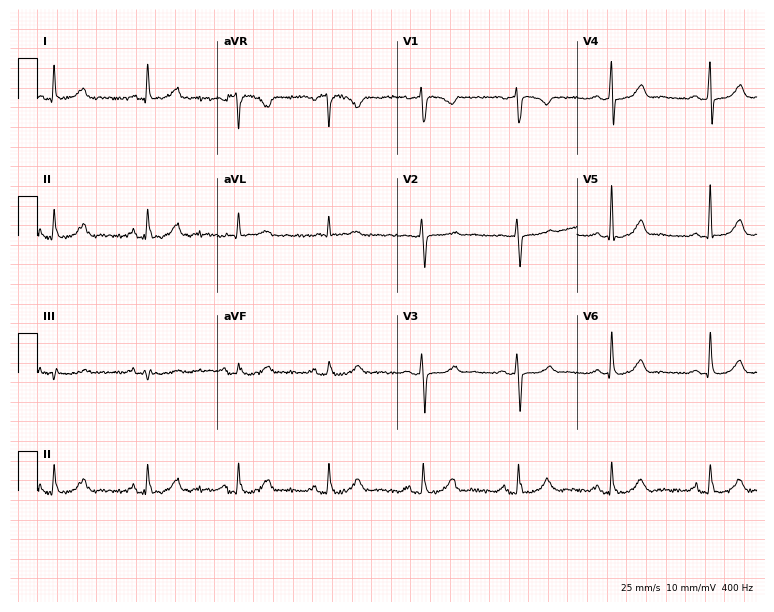
ECG (7.3-second recording at 400 Hz) — a female patient, 61 years old. Labelled as a normal ECG.